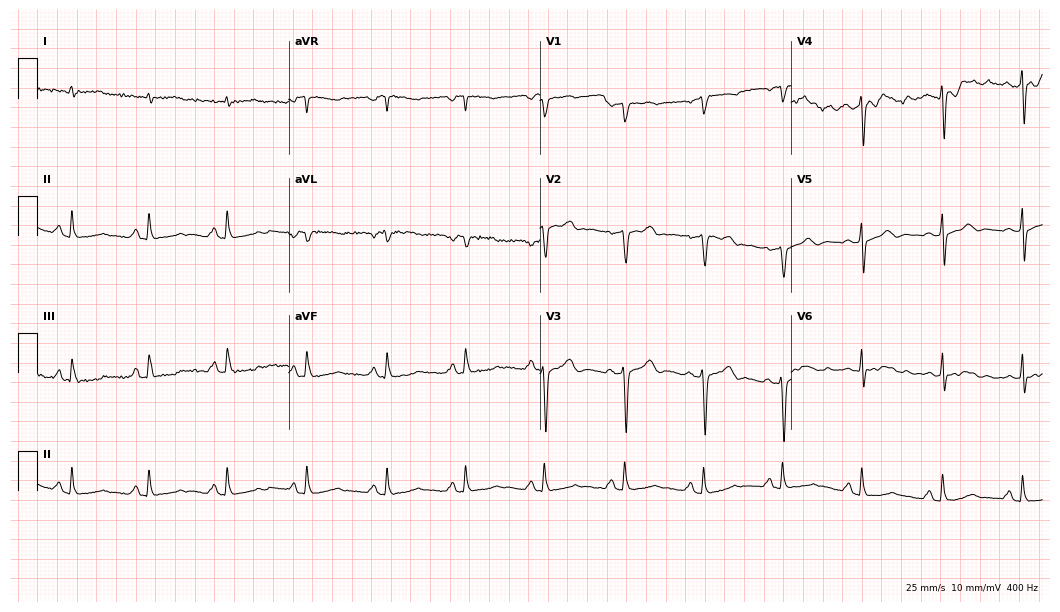
Standard 12-lead ECG recorded from a woman, 56 years old (10.2-second recording at 400 Hz). None of these six findings is recorded: first-degree AV block, right bundle branch block, left bundle branch block, sinus bradycardia, atrial fibrillation, sinus tachycardia. Findings outside these six are not listed.